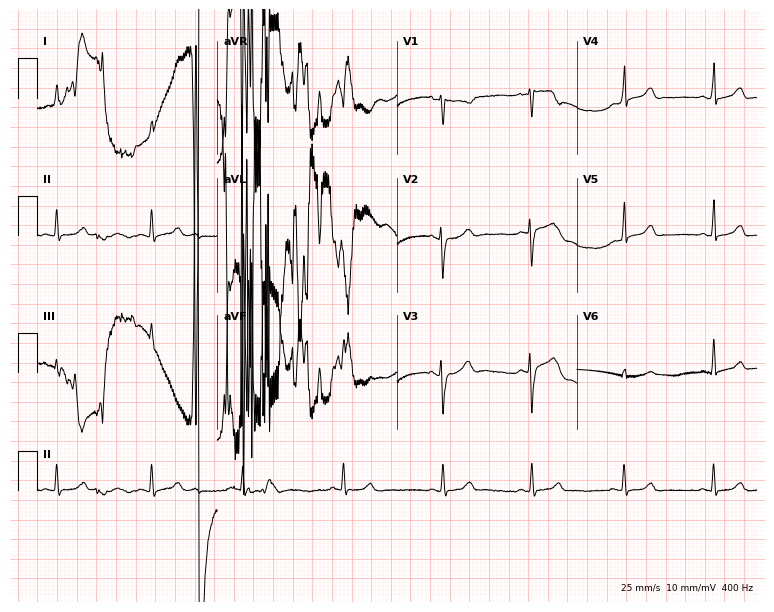
12-lead ECG (7.3-second recording at 400 Hz) from a woman, 28 years old. Screened for six findings — first-degree AV block, right bundle branch block, left bundle branch block, sinus bradycardia, atrial fibrillation, sinus tachycardia — none is recorded. Only these six findings were labelled.